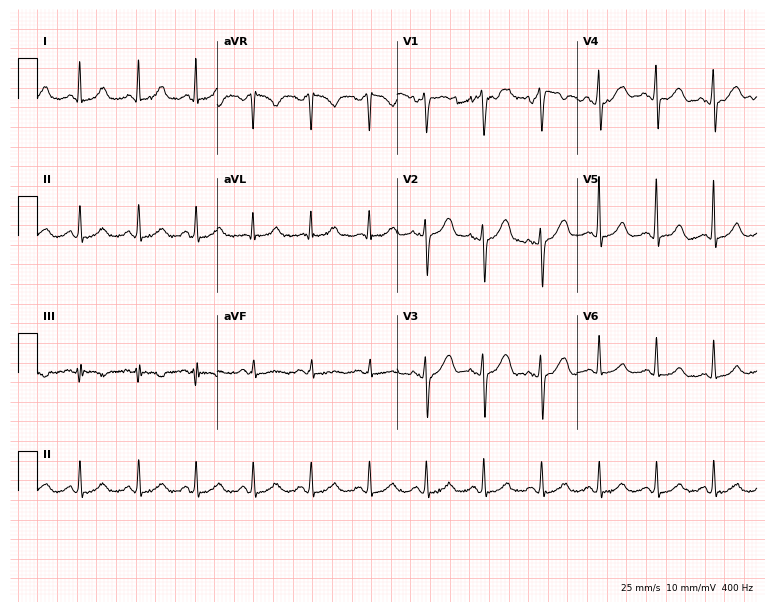
ECG — a 33-year-old female patient. Labelled as a normal ECG.